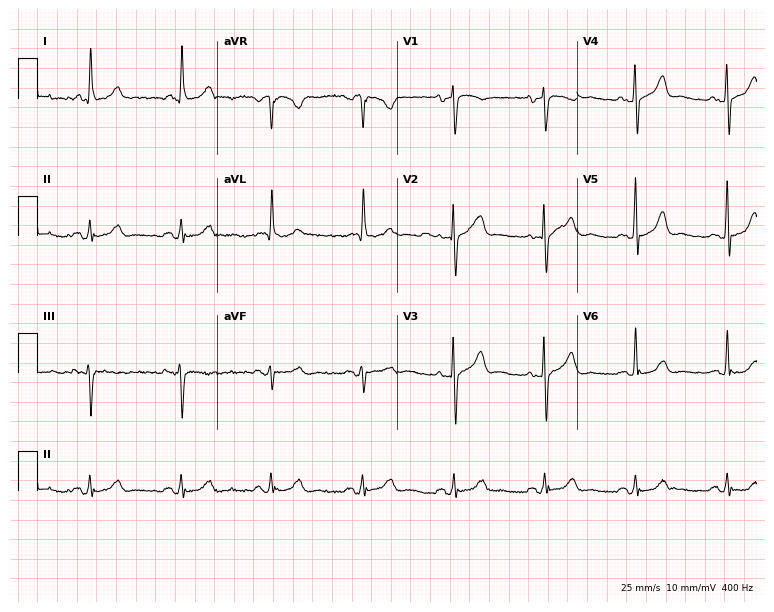
Resting 12-lead electrocardiogram (7.3-second recording at 400 Hz). Patient: an 82-year-old female. Read as a normal ECG.